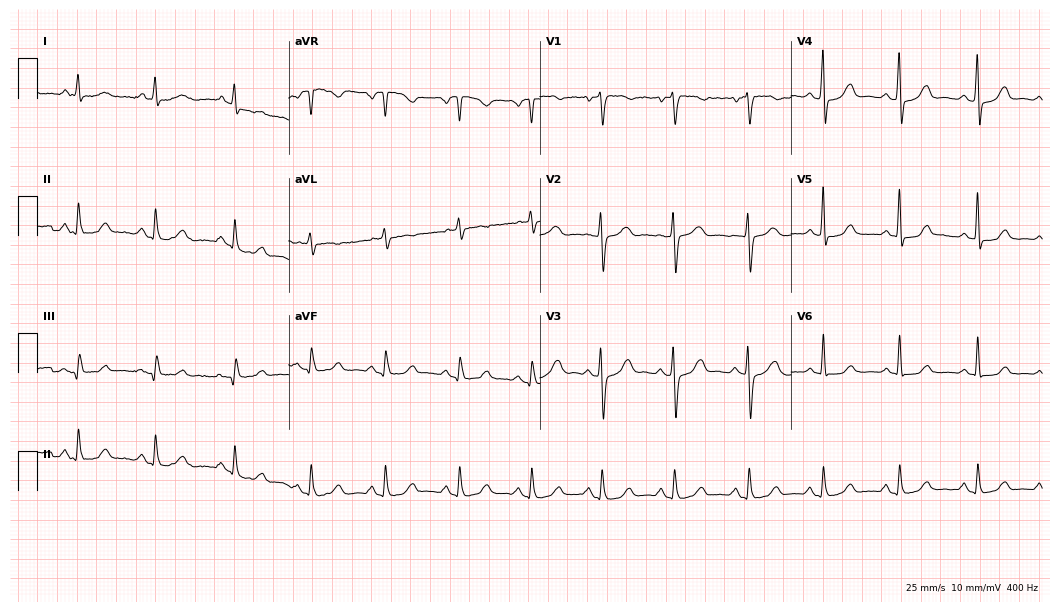
Electrocardiogram (10.2-second recording at 400 Hz), a woman, 51 years old. Overall reading on record: normal ECG.